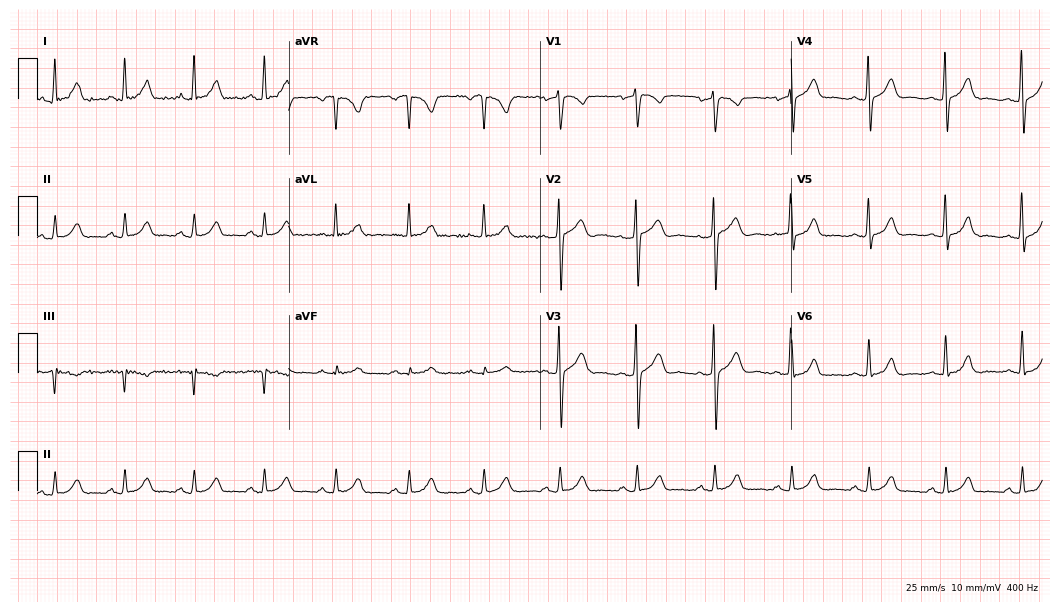
ECG (10.2-second recording at 400 Hz) — a 34-year-old male patient. Screened for six findings — first-degree AV block, right bundle branch block (RBBB), left bundle branch block (LBBB), sinus bradycardia, atrial fibrillation (AF), sinus tachycardia — none is recorded.